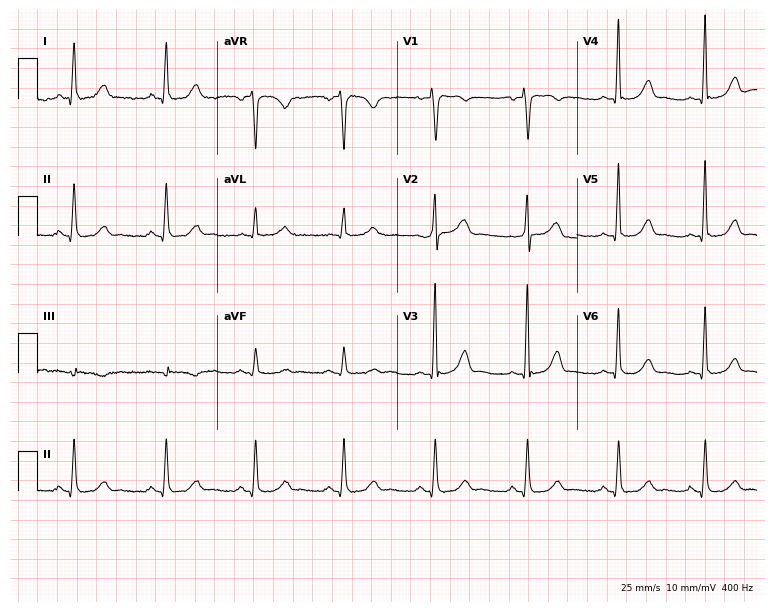
Electrocardiogram, a female patient, 46 years old. Overall reading on record: normal ECG.